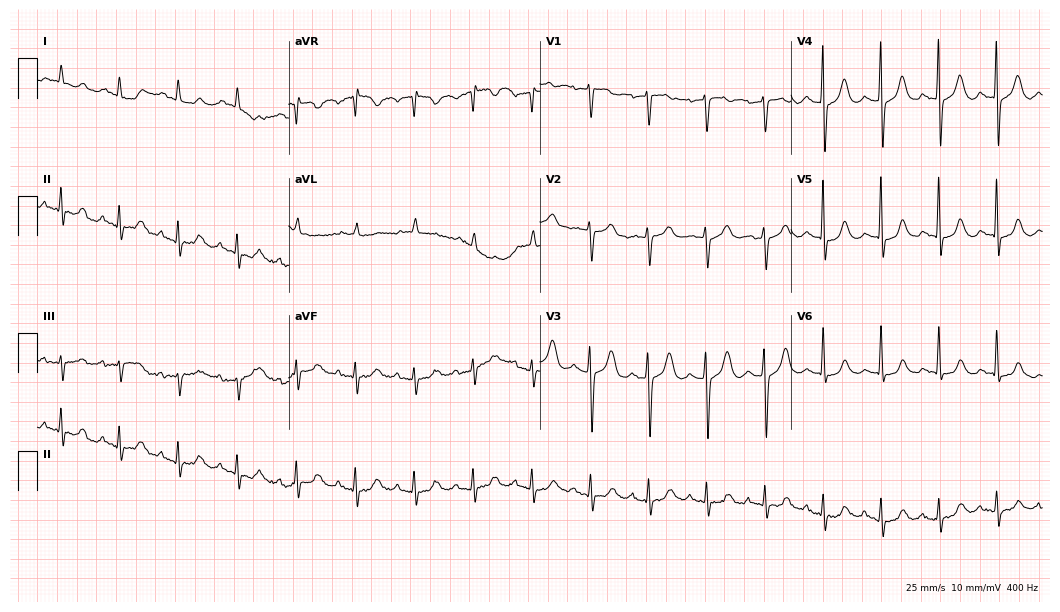
Resting 12-lead electrocardiogram (10.2-second recording at 400 Hz). Patient: an 87-year-old female. None of these six findings is recorded: first-degree AV block, right bundle branch block, left bundle branch block, sinus bradycardia, atrial fibrillation, sinus tachycardia.